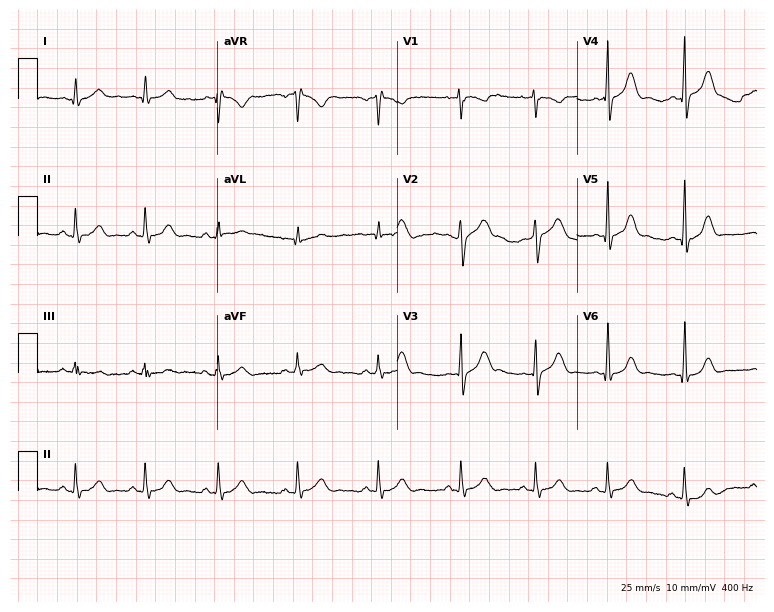
12-lead ECG (7.3-second recording at 400 Hz) from a female, 25 years old. Screened for six findings — first-degree AV block, right bundle branch block, left bundle branch block, sinus bradycardia, atrial fibrillation, sinus tachycardia — none is recorded.